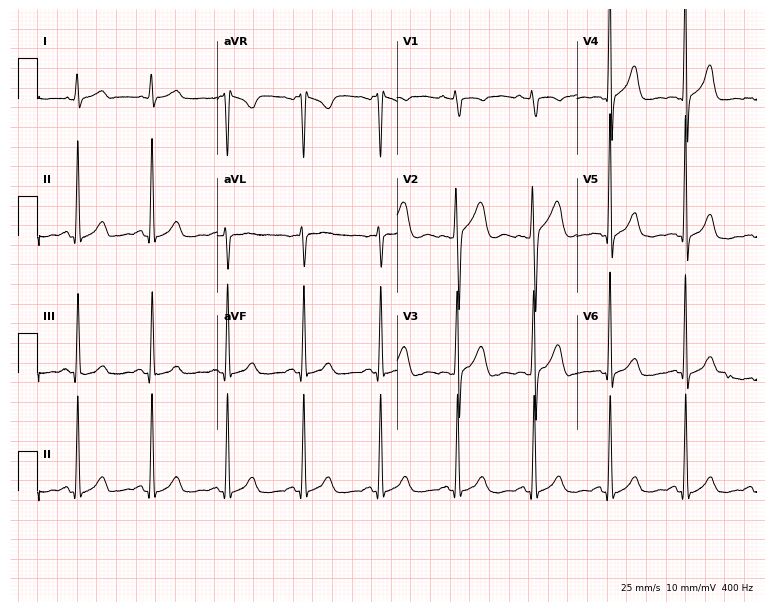
12-lead ECG from a male, 37 years old. Screened for six findings — first-degree AV block, right bundle branch block, left bundle branch block, sinus bradycardia, atrial fibrillation, sinus tachycardia — none is recorded.